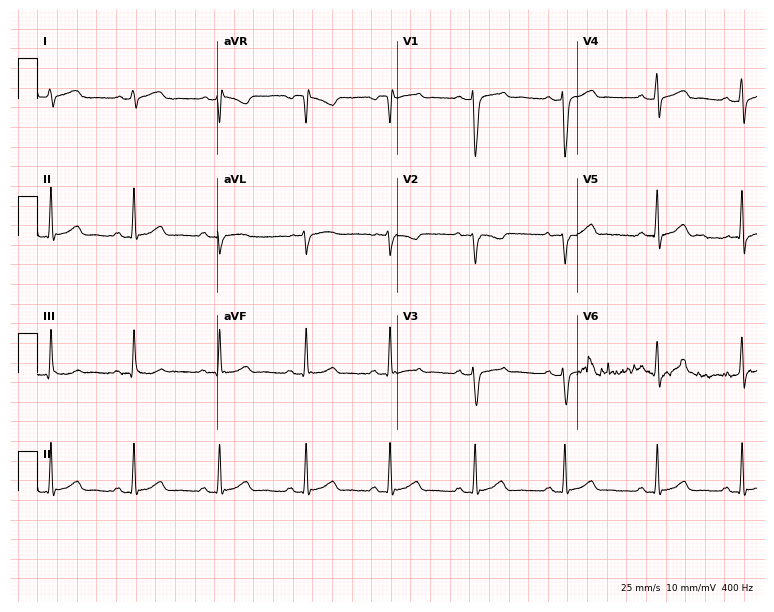
Resting 12-lead electrocardiogram. Patient: a woman, 35 years old. Read as a normal ECG.